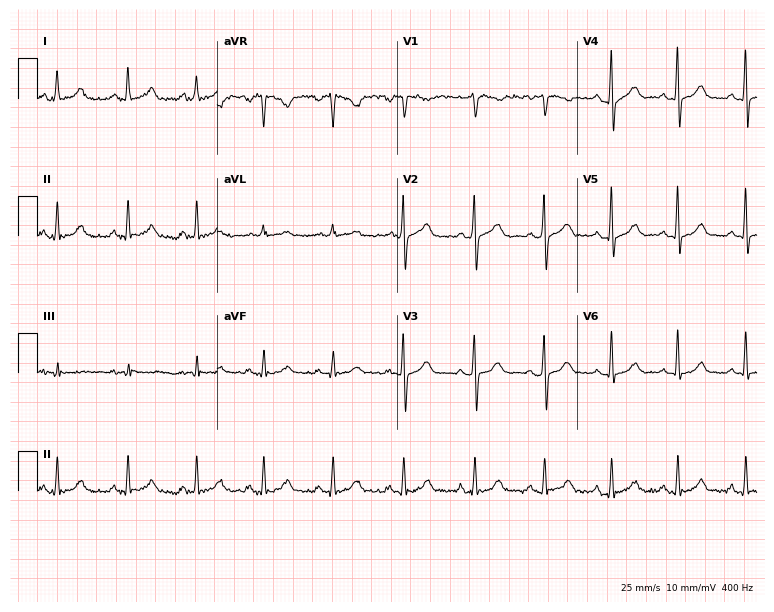
Electrocardiogram (7.3-second recording at 400 Hz), a female, 44 years old. Overall reading on record: normal ECG.